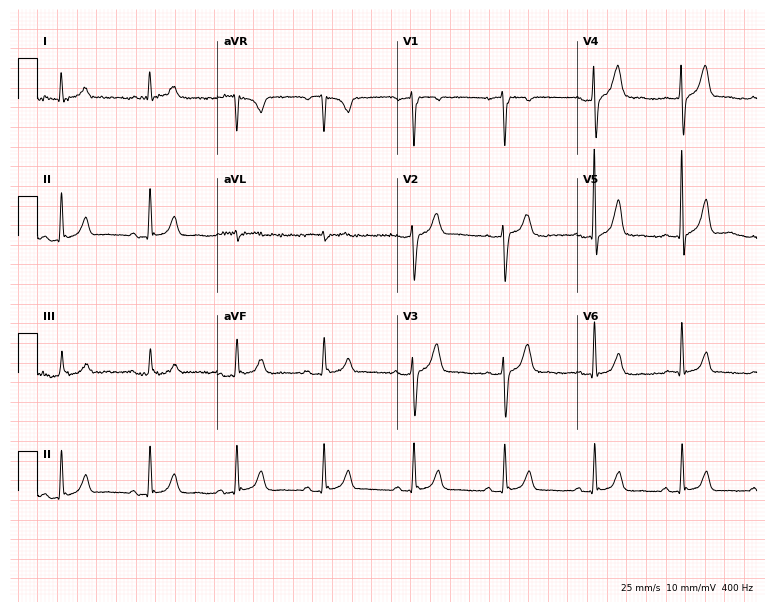
12-lead ECG from a man, 63 years old. Screened for six findings — first-degree AV block, right bundle branch block, left bundle branch block, sinus bradycardia, atrial fibrillation, sinus tachycardia — none is recorded. Only these six findings were labelled.